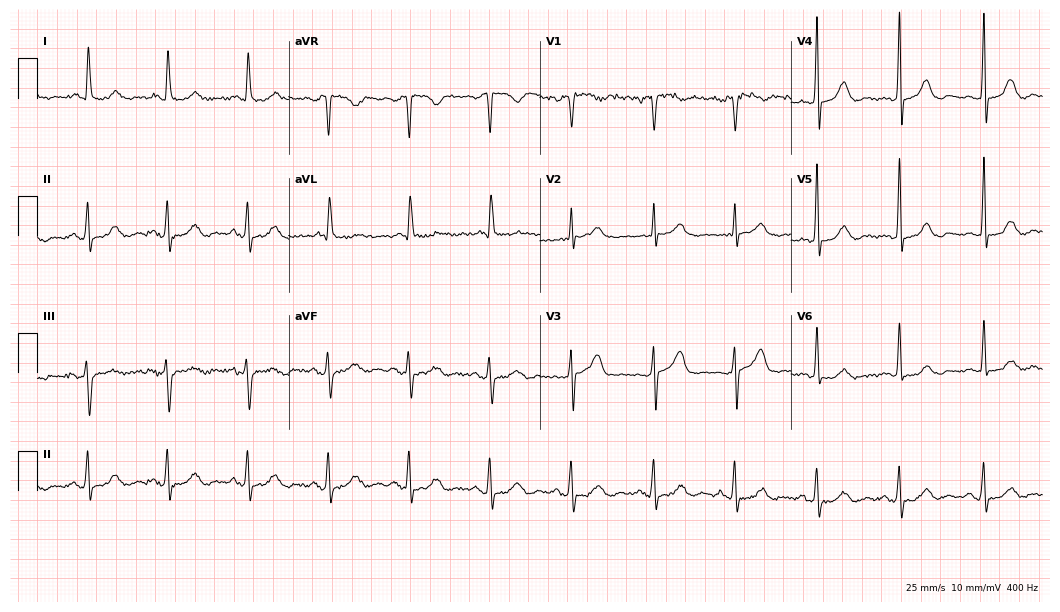
ECG (10.2-second recording at 400 Hz) — a male patient, 74 years old. Labelled as a normal ECG.